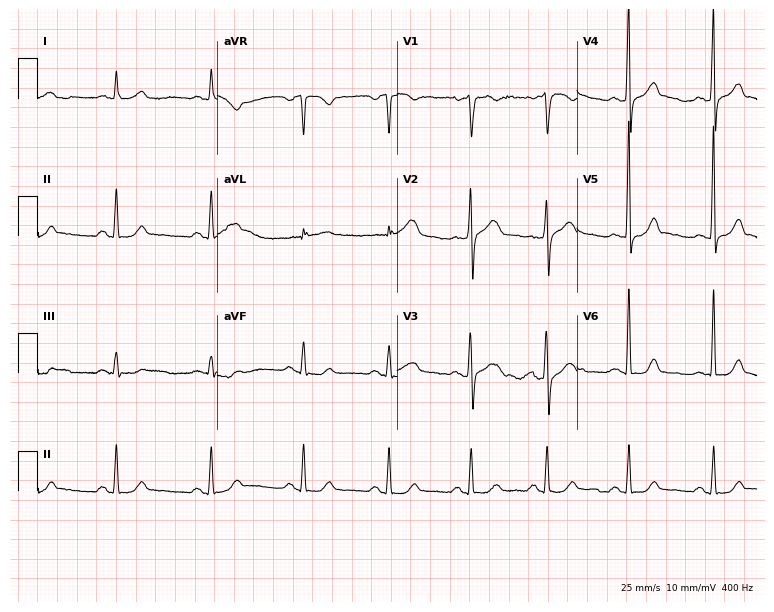
12-lead ECG from a man, 58 years old. Labelled as a normal ECG.